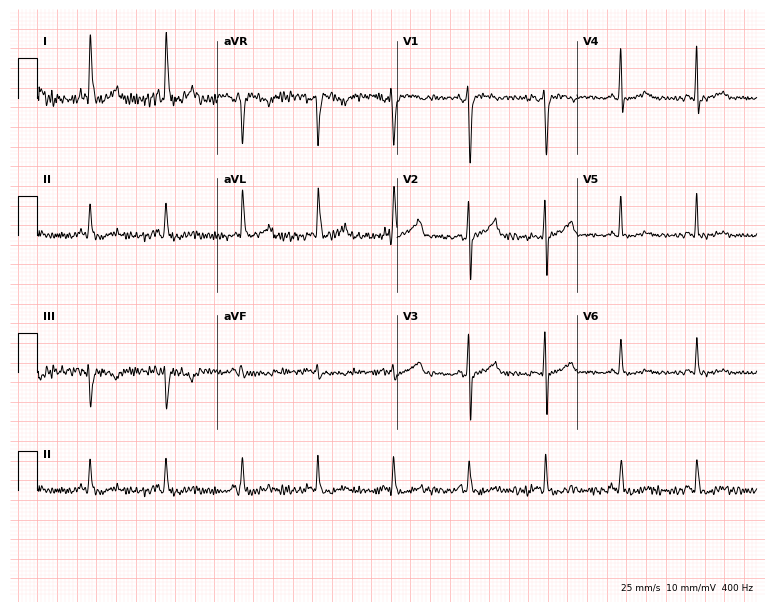
ECG (7.3-second recording at 400 Hz) — a male patient, 71 years old. Labelled as a normal ECG.